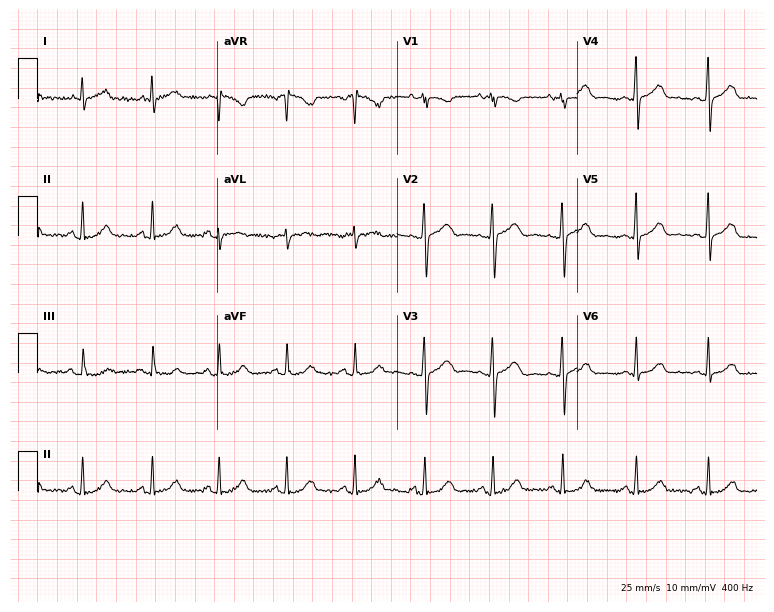
12-lead ECG from a female, 26 years old. Labelled as a normal ECG.